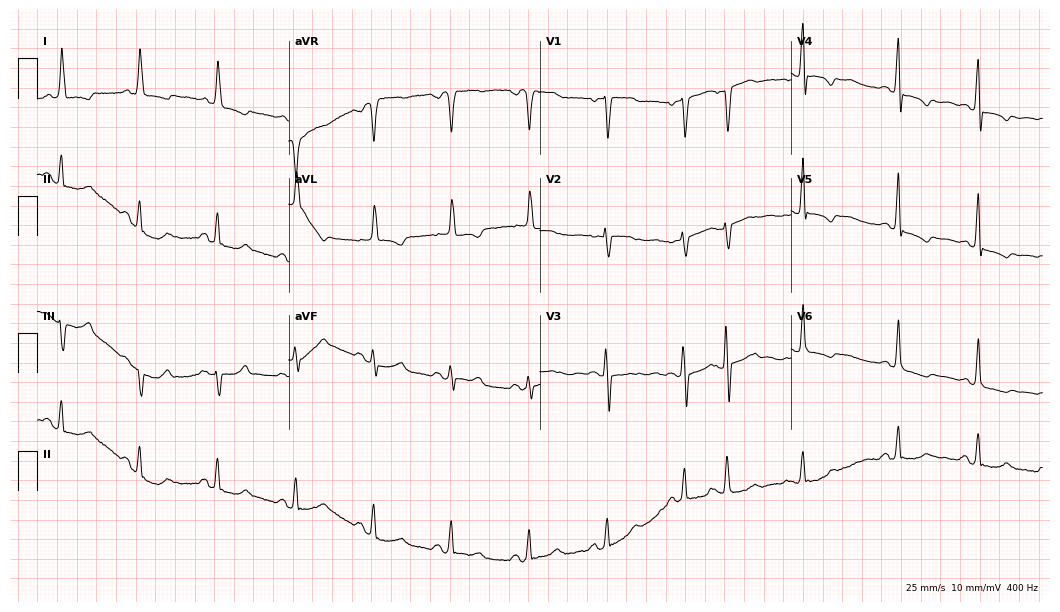
12-lead ECG (10.2-second recording at 400 Hz) from an 82-year-old female patient. Screened for six findings — first-degree AV block, right bundle branch block, left bundle branch block, sinus bradycardia, atrial fibrillation, sinus tachycardia — none is recorded. Only these six findings were labelled.